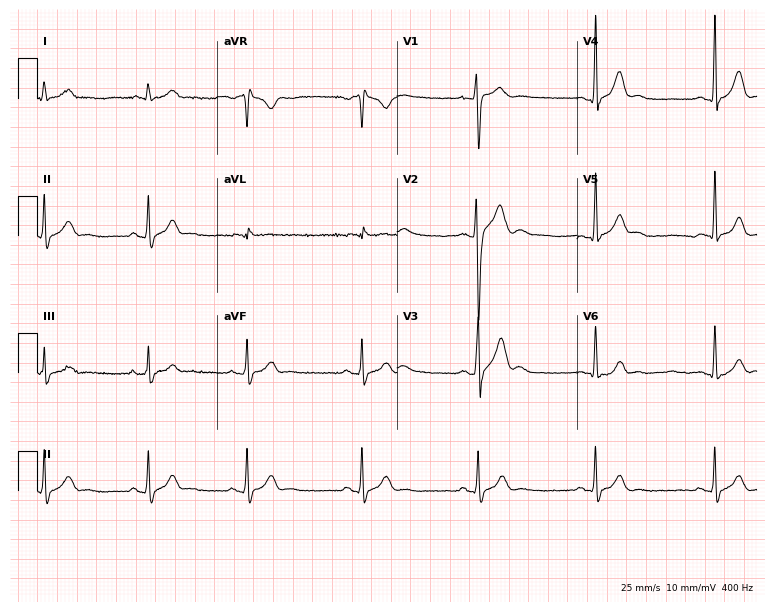
Electrocardiogram (7.3-second recording at 400 Hz), an 18-year-old male patient. Overall reading on record: normal ECG.